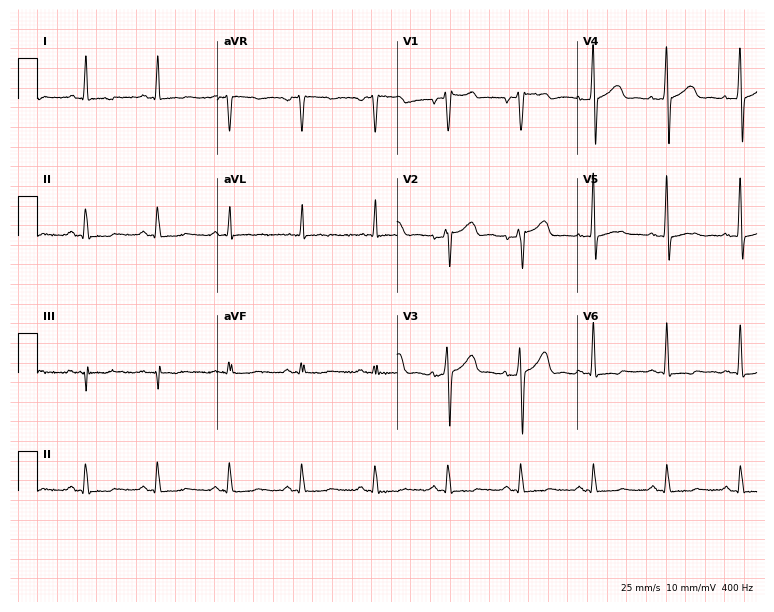
ECG — a 50-year-old male patient. Labelled as a normal ECG.